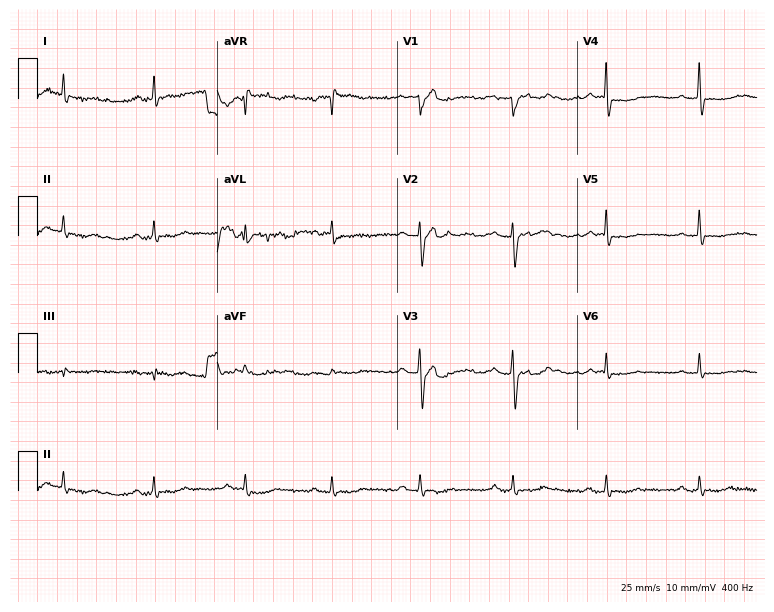
Resting 12-lead electrocardiogram. Patient: a woman, 54 years old. Read as a normal ECG.